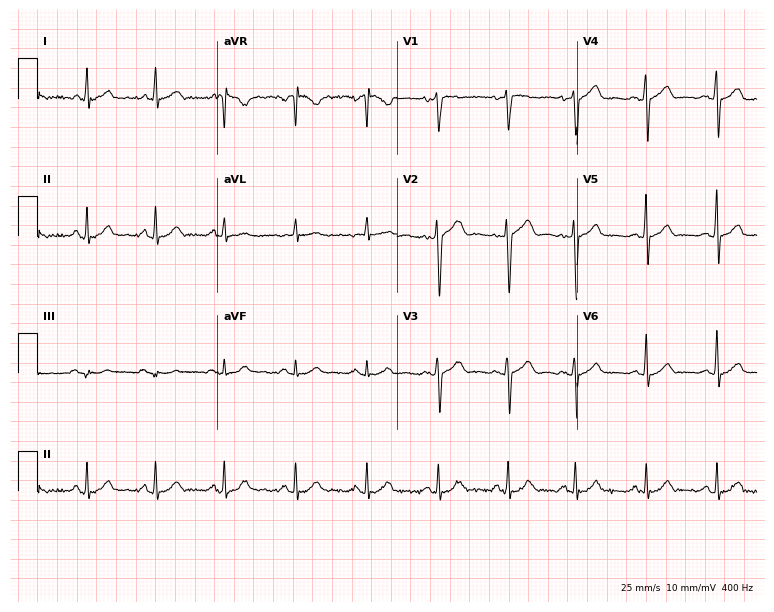
12-lead ECG from a 23-year-old male patient. Recorded interpretation: within normal limits.